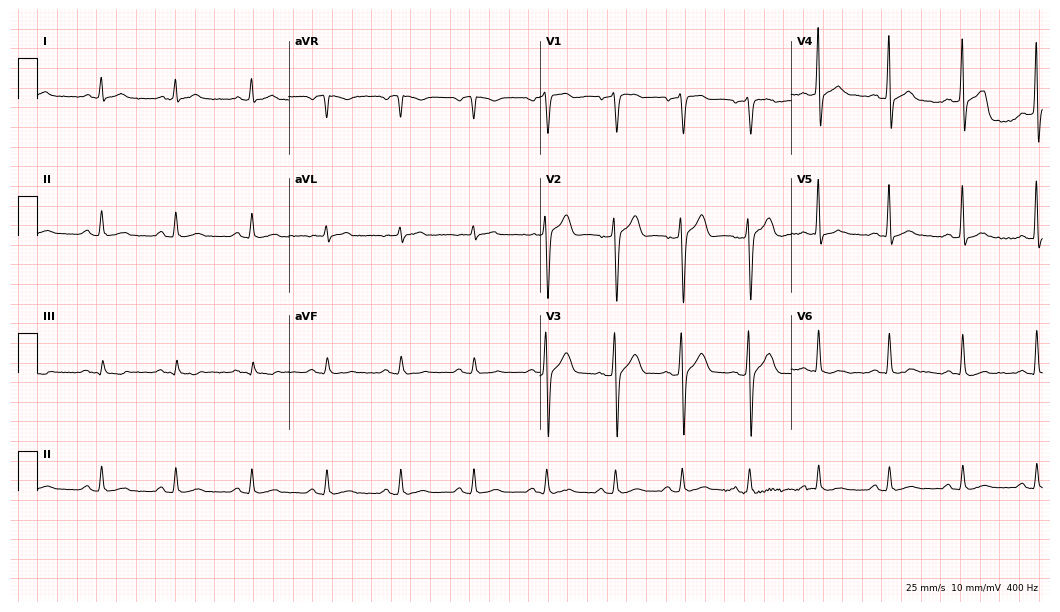
Standard 12-lead ECG recorded from a 42-year-old man. Read as a normal ECG.